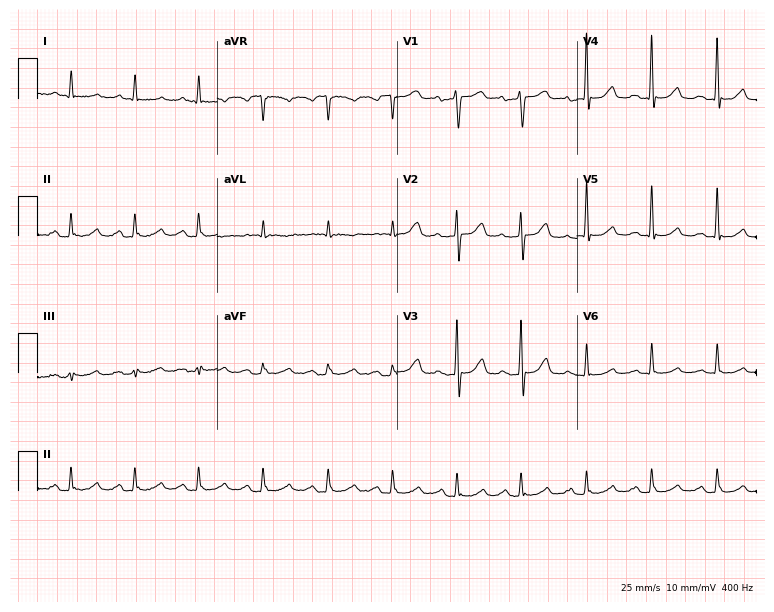
12-lead ECG from a 60-year-old female patient (7.3-second recording at 400 Hz). No first-degree AV block, right bundle branch block, left bundle branch block, sinus bradycardia, atrial fibrillation or sinus tachycardia recorded for this tracing.